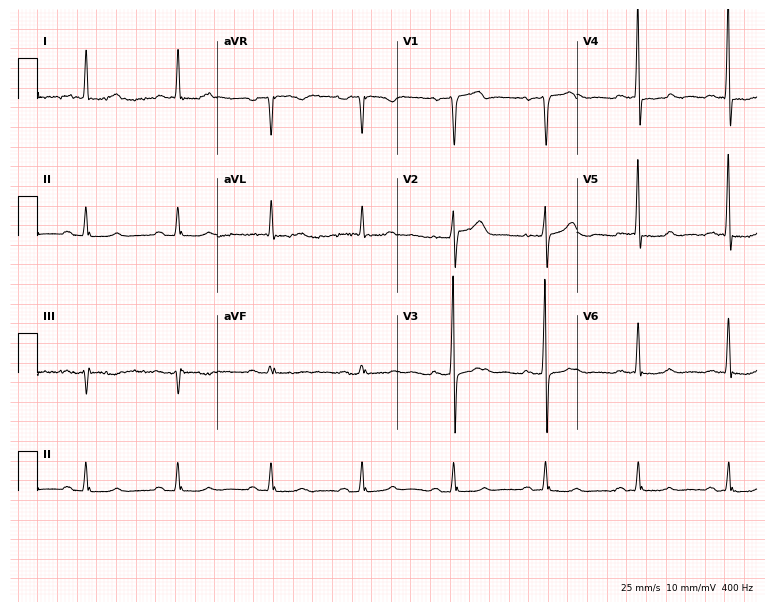
Resting 12-lead electrocardiogram. Patient: a male, 64 years old. None of these six findings is recorded: first-degree AV block, right bundle branch block, left bundle branch block, sinus bradycardia, atrial fibrillation, sinus tachycardia. Findings outside these six are not listed.